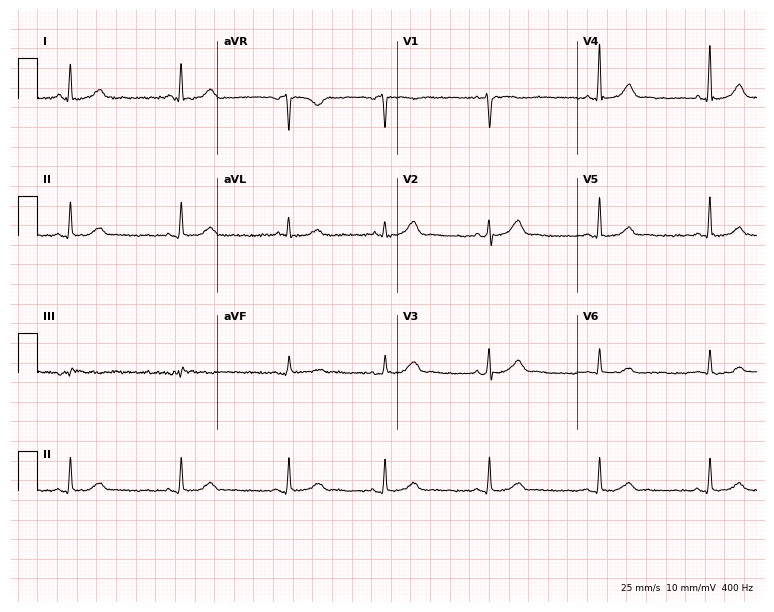
12-lead ECG (7.3-second recording at 400 Hz) from a 41-year-old woman. Screened for six findings — first-degree AV block, right bundle branch block, left bundle branch block, sinus bradycardia, atrial fibrillation, sinus tachycardia — none is recorded. Findings outside these six are not listed.